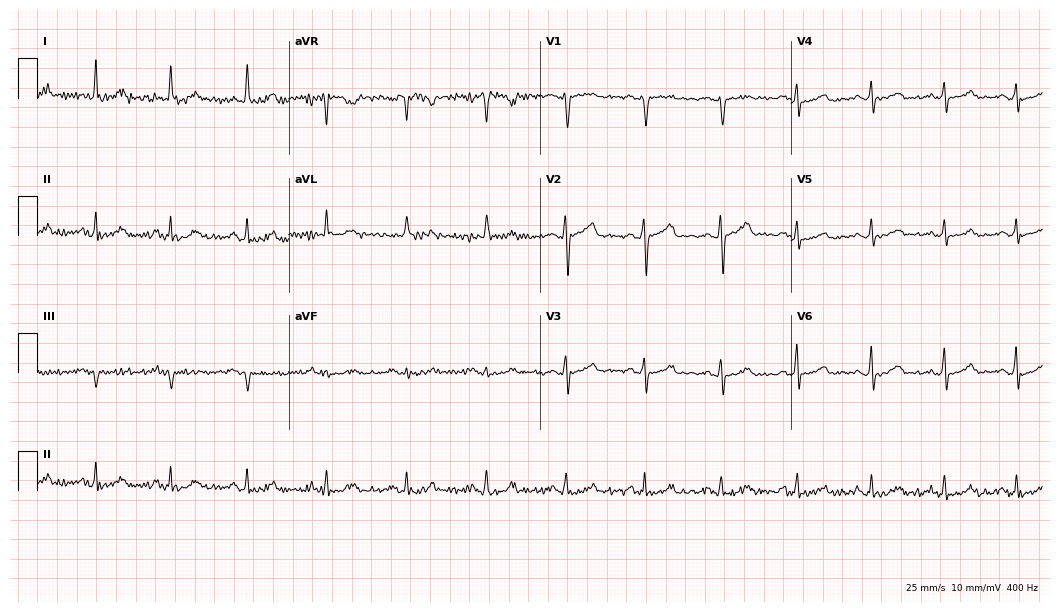
12-lead ECG (10.2-second recording at 400 Hz) from a male patient, 46 years old. Labelled as a normal ECG.